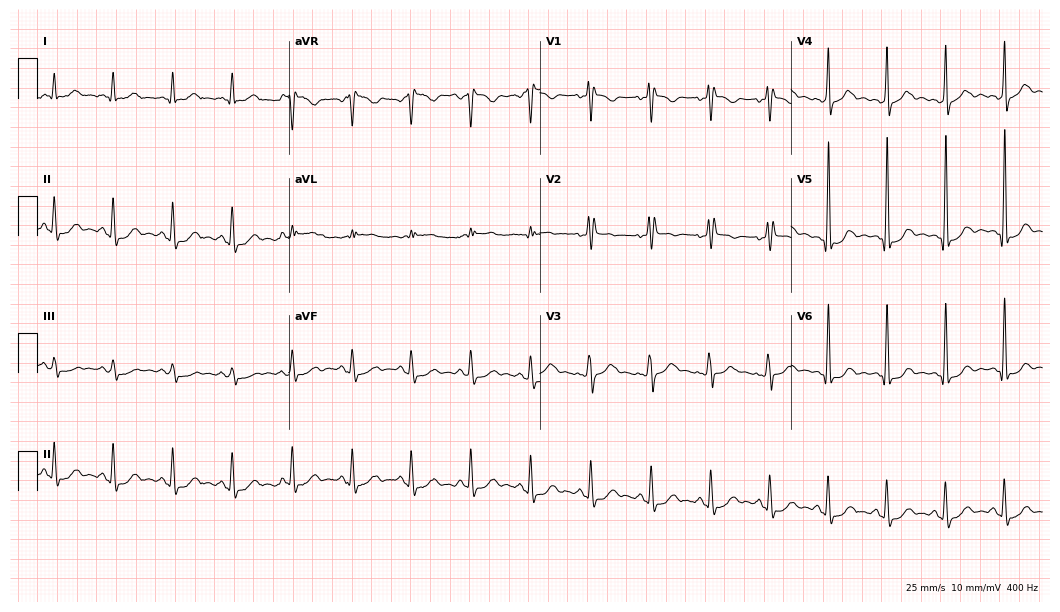
12-lead ECG (10.2-second recording at 400 Hz) from a 41-year-old male patient. Screened for six findings — first-degree AV block, right bundle branch block (RBBB), left bundle branch block (LBBB), sinus bradycardia, atrial fibrillation (AF), sinus tachycardia — none is recorded.